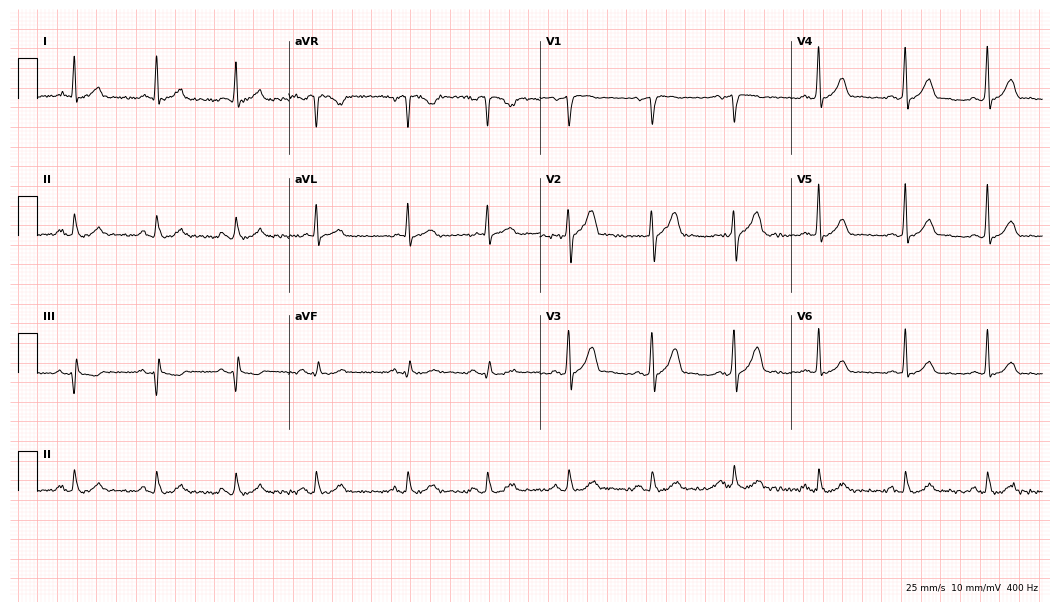
12-lead ECG (10.2-second recording at 400 Hz) from a male patient, 68 years old. Labelled as a normal ECG.